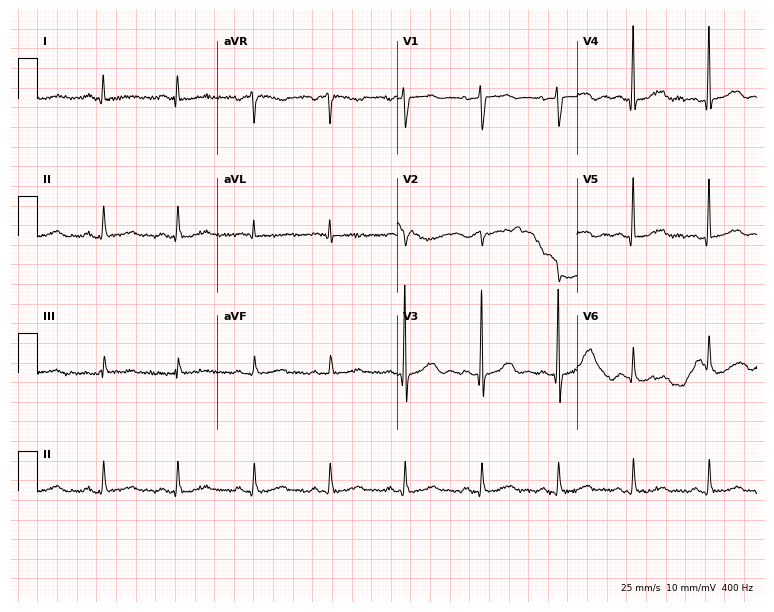
Resting 12-lead electrocardiogram. Patient: an 86-year-old female. Read as a normal ECG.